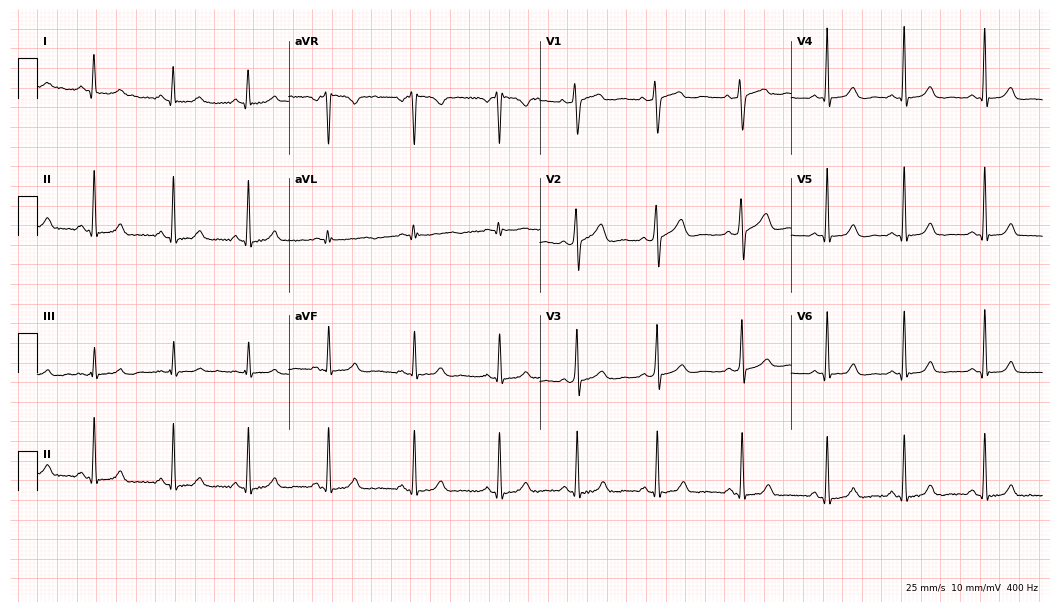
ECG — a 25-year-old female patient. Labelled as a normal ECG.